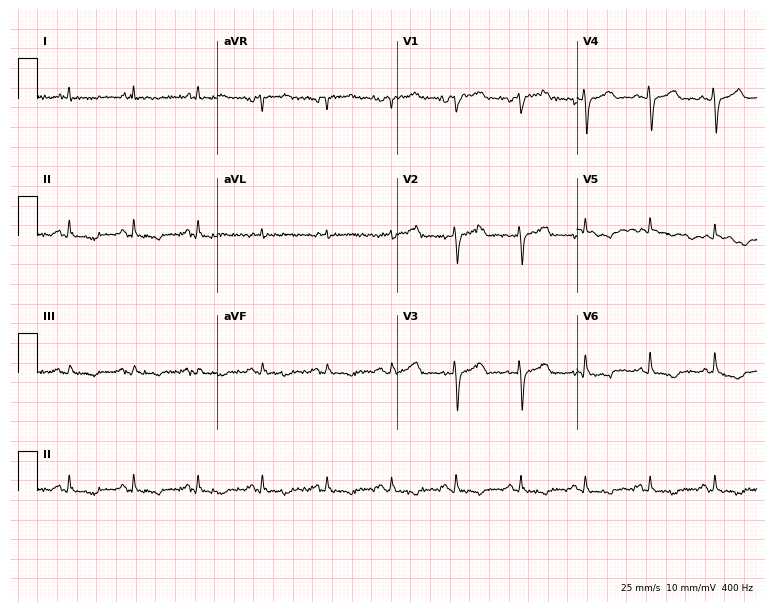
ECG — a male, 83 years old. Screened for six findings — first-degree AV block, right bundle branch block, left bundle branch block, sinus bradycardia, atrial fibrillation, sinus tachycardia — none is recorded.